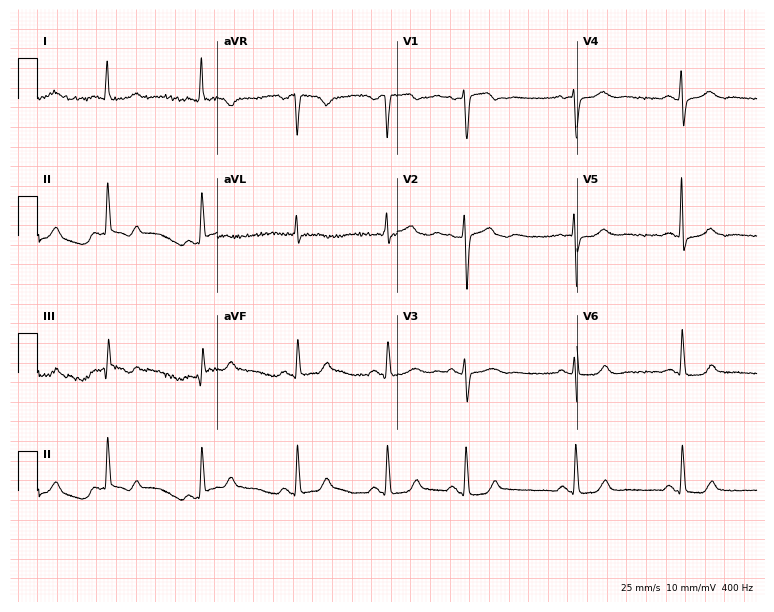
12-lead ECG from a female, 65 years old. Recorded interpretation: within normal limits.